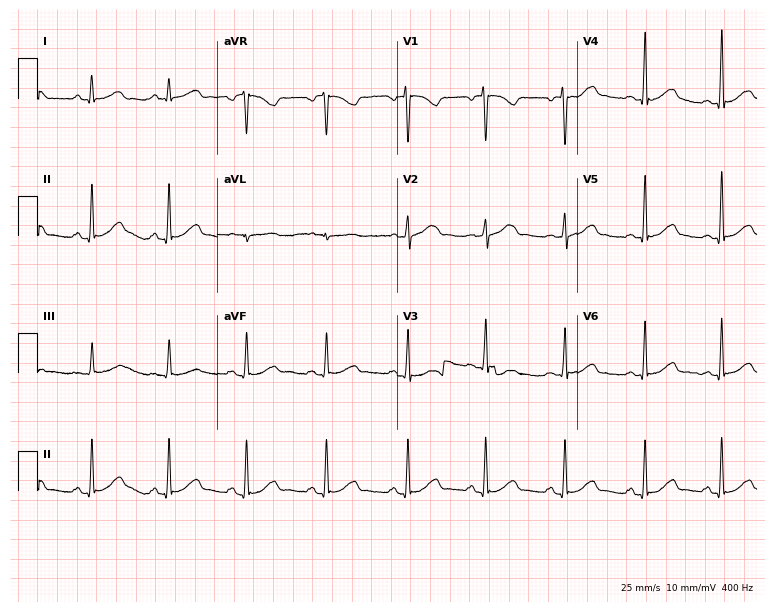
Resting 12-lead electrocardiogram (7.3-second recording at 400 Hz). Patient: a 32-year-old female. Read as a normal ECG.